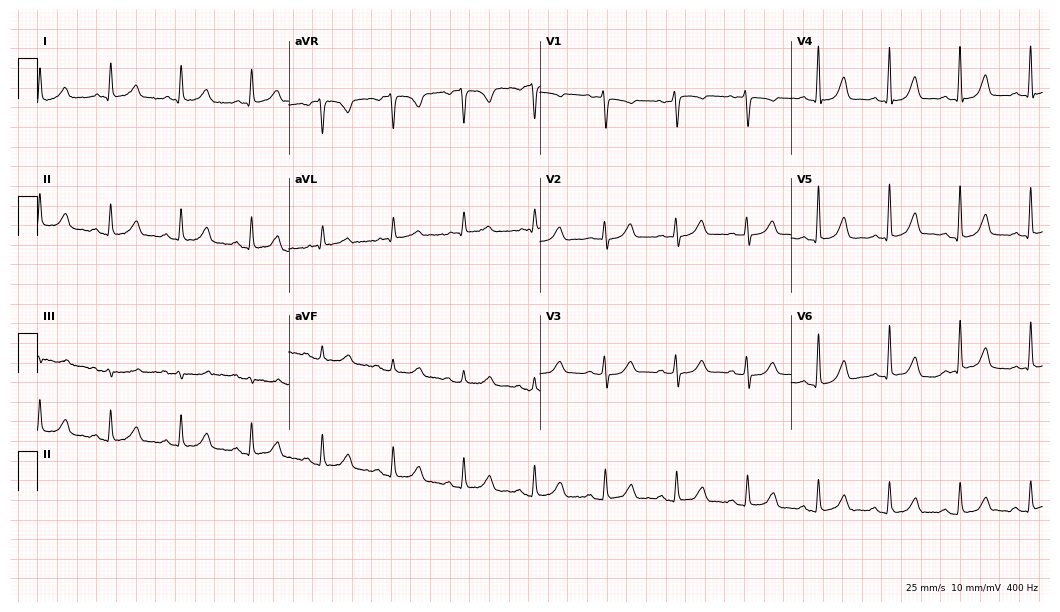
ECG — a female, 66 years old. Labelled as a normal ECG.